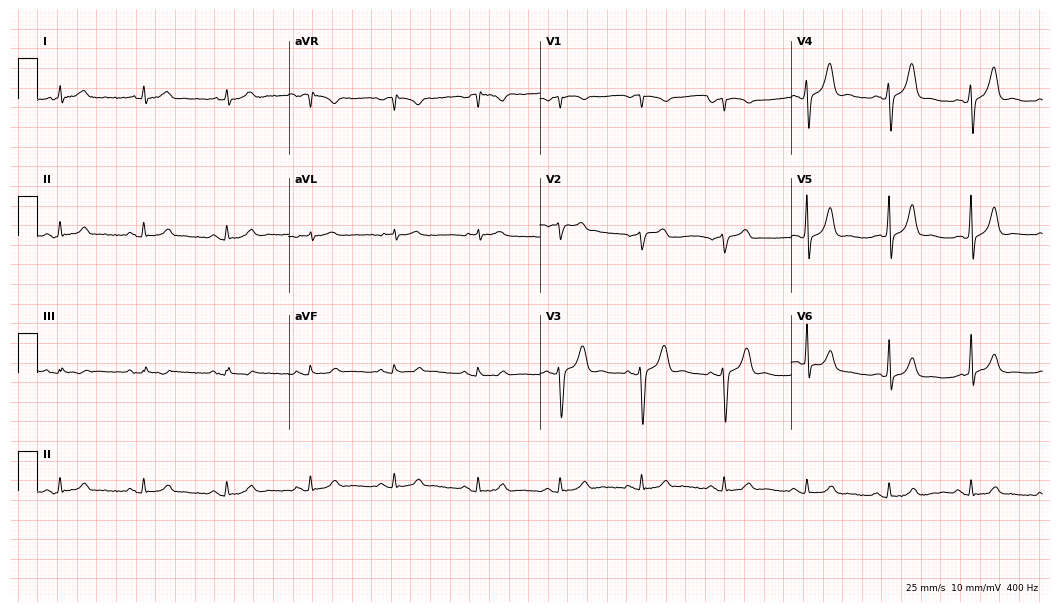
ECG (10.2-second recording at 400 Hz) — a man, 75 years old. Labelled as a normal ECG.